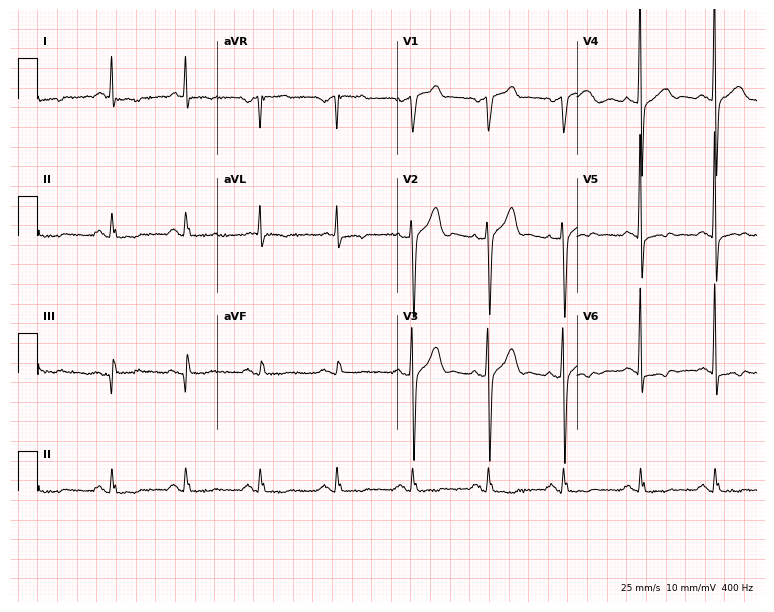
Standard 12-lead ECG recorded from a male patient, 68 years old (7.3-second recording at 400 Hz). None of these six findings is recorded: first-degree AV block, right bundle branch block, left bundle branch block, sinus bradycardia, atrial fibrillation, sinus tachycardia.